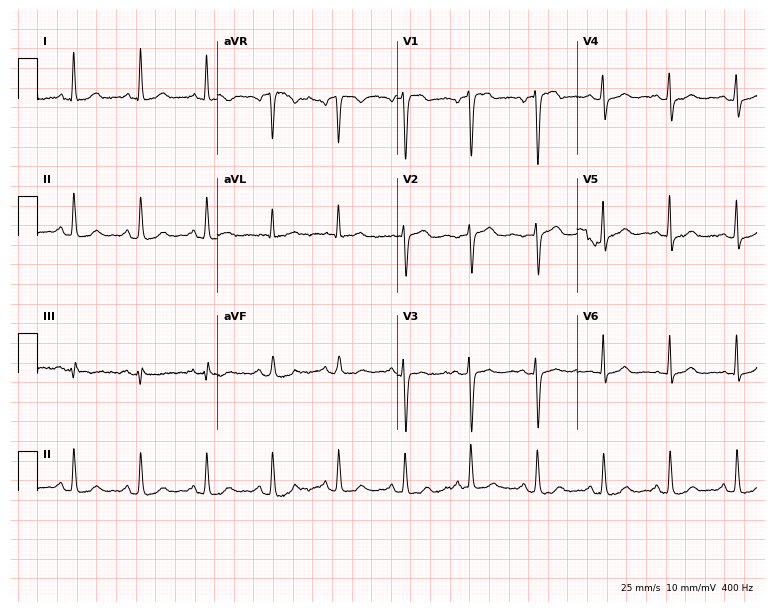
Electrocardiogram (7.3-second recording at 400 Hz), a female, 52 years old. Overall reading on record: normal ECG.